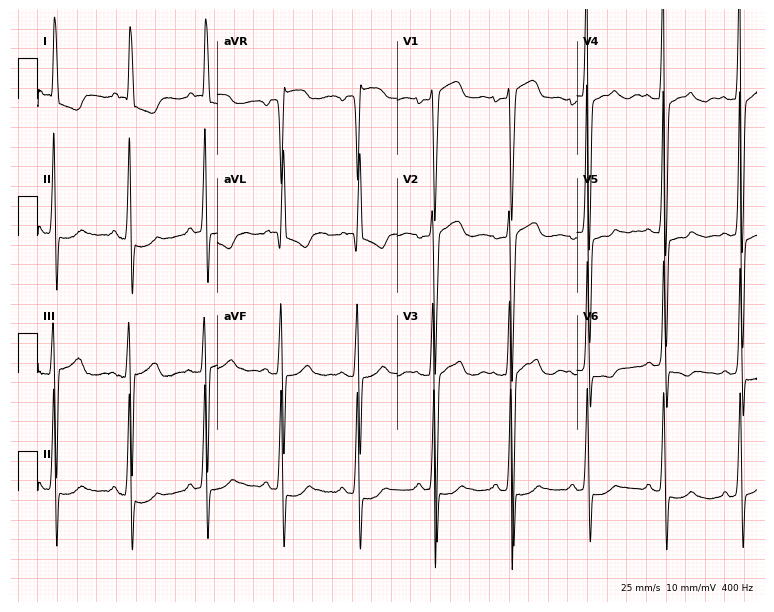
ECG — a woman, 62 years old. Screened for six findings — first-degree AV block, right bundle branch block, left bundle branch block, sinus bradycardia, atrial fibrillation, sinus tachycardia — none is recorded. Findings outside these six are not listed.